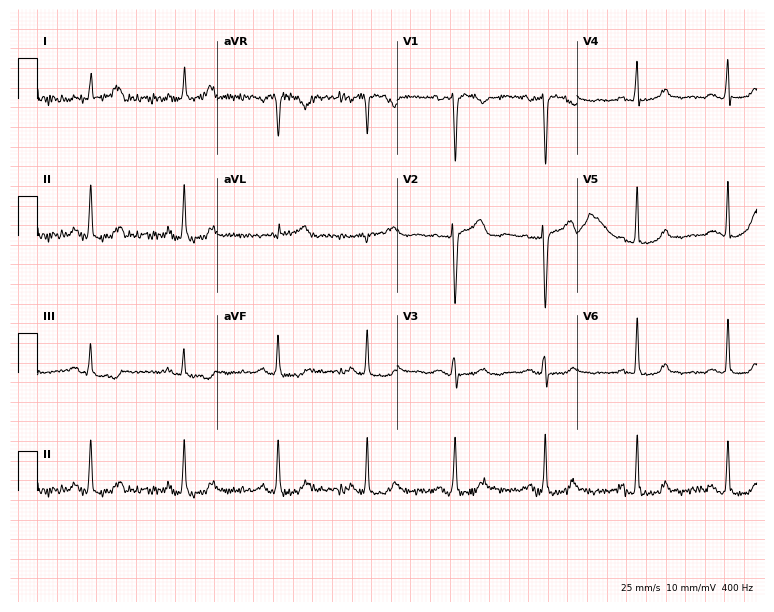
ECG (7.3-second recording at 400 Hz) — a female, 44 years old. Labelled as a normal ECG.